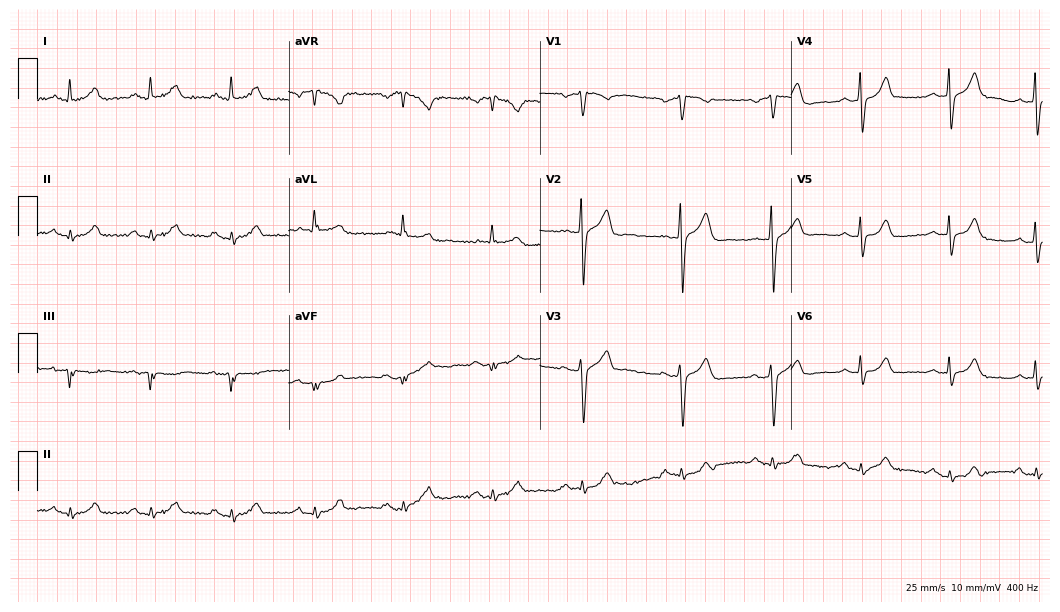
ECG — a man, 50 years old. Screened for six findings — first-degree AV block, right bundle branch block (RBBB), left bundle branch block (LBBB), sinus bradycardia, atrial fibrillation (AF), sinus tachycardia — none is recorded.